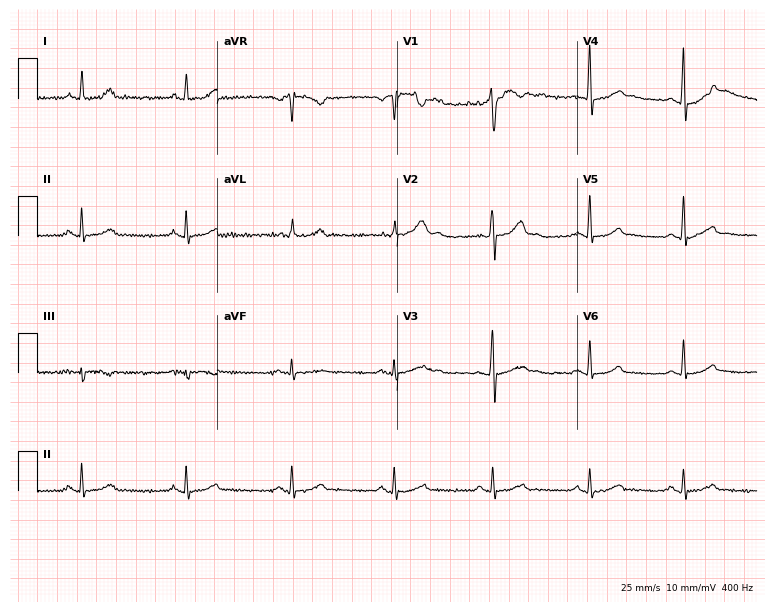
Resting 12-lead electrocardiogram (7.3-second recording at 400 Hz). Patient: a 56-year-old male. Read as a normal ECG.